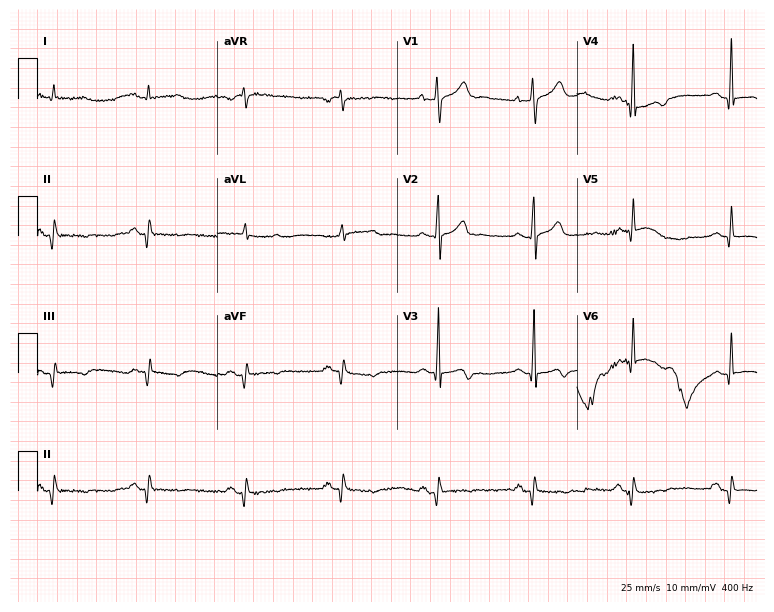
Resting 12-lead electrocardiogram (7.3-second recording at 400 Hz). Patient: a 75-year-old male. None of these six findings is recorded: first-degree AV block, right bundle branch block (RBBB), left bundle branch block (LBBB), sinus bradycardia, atrial fibrillation (AF), sinus tachycardia.